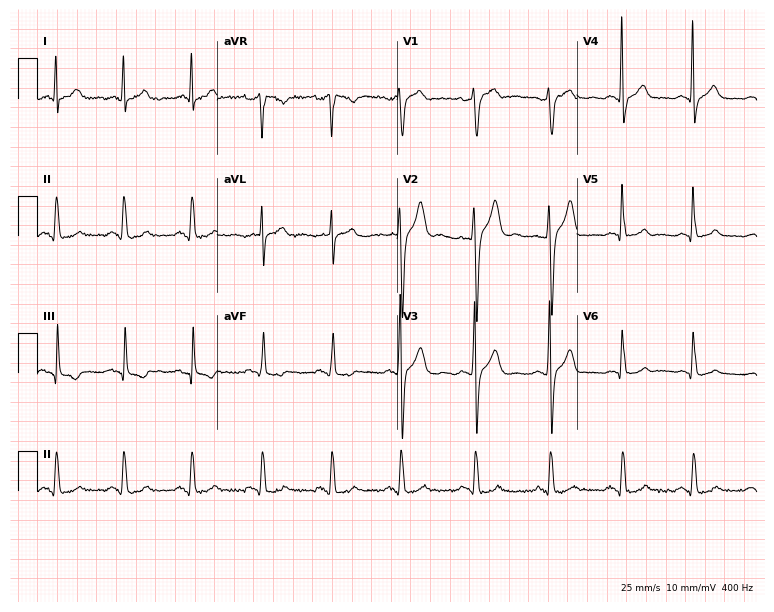
12-lead ECG (7.3-second recording at 400 Hz) from a male, 41 years old. Labelled as a normal ECG.